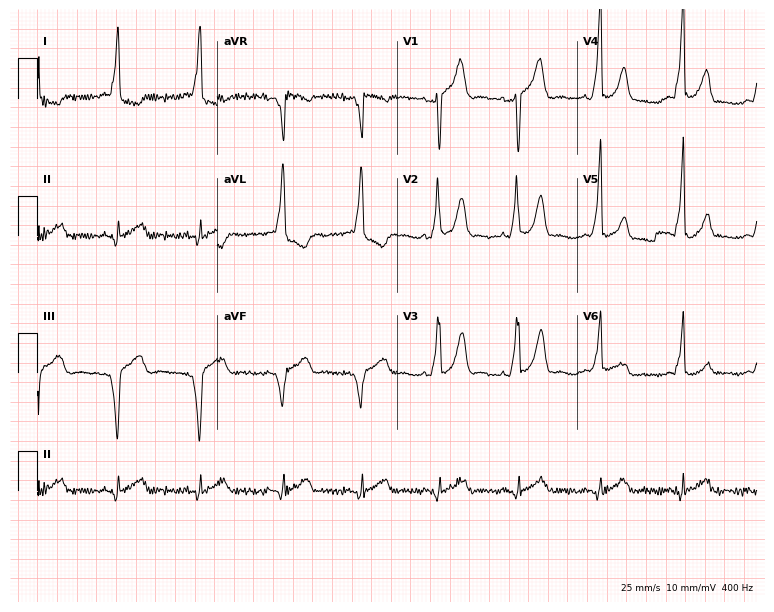
Standard 12-lead ECG recorded from a male, 45 years old (7.3-second recording at 400 Hz). None of these six findings is recorded: first-degree AV block, right bundle branch block, left bundle branch block, sinus bradycardia, atrial fibrillation, sinus tachycardia. Only these six findings were labelled.